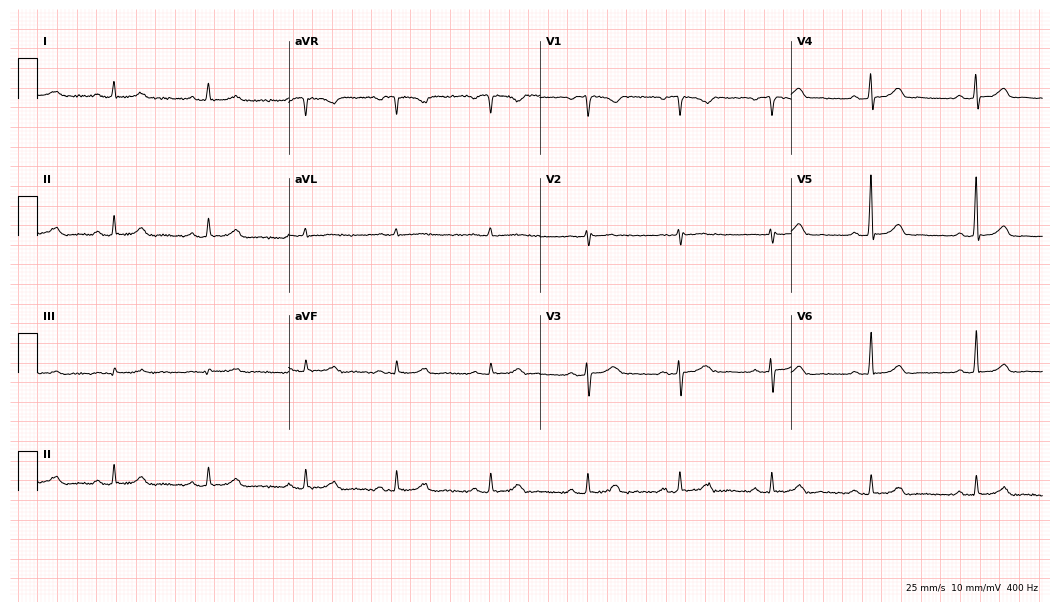
Resting 12-lead electrocardiogram (10.2-second recording at 400 Hz). Patient: a female, 45 years old. Read as a normal ECG.